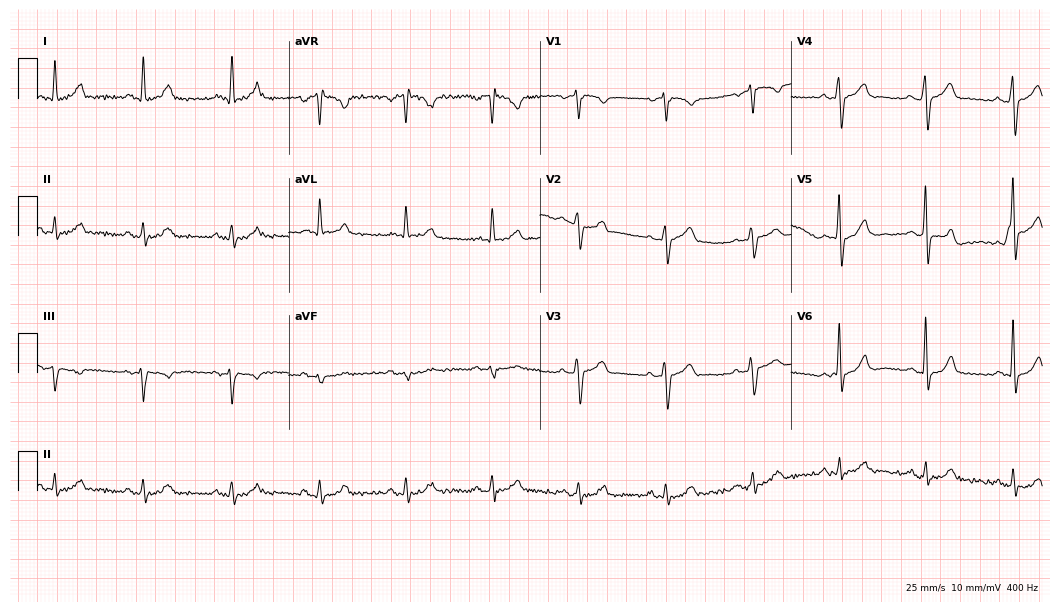
Resting 12-lead electrocardiogram (10.2-second recording at 400 Hz). Patient: a male, 70 years old. Read as a normal ECG.